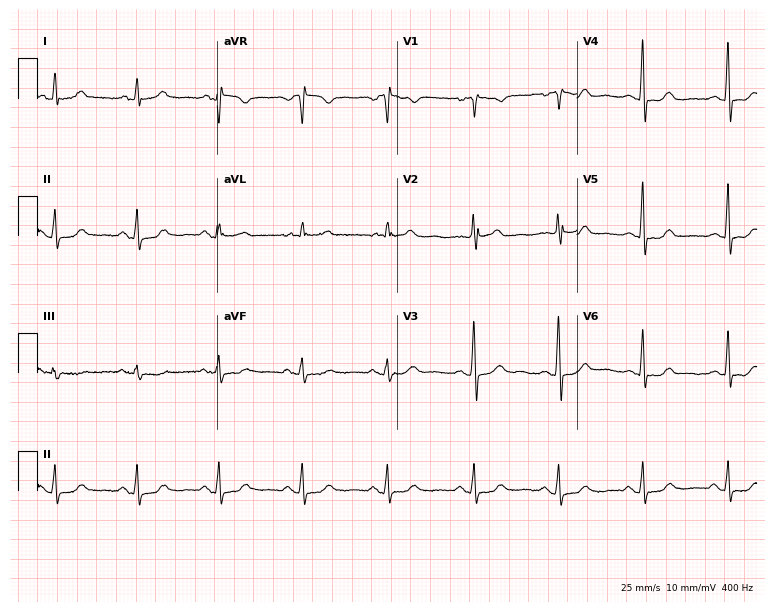
Resting 12-lead electrocardiogram (7.3-second recording at 400 Hz). Patient: a female, 55 years old. None of these six findings is recorded: first-degree AV block, right bundle branch block, left bundle branch block, sinus bradycardia, atrial fibrillation, sinus tachycardia.